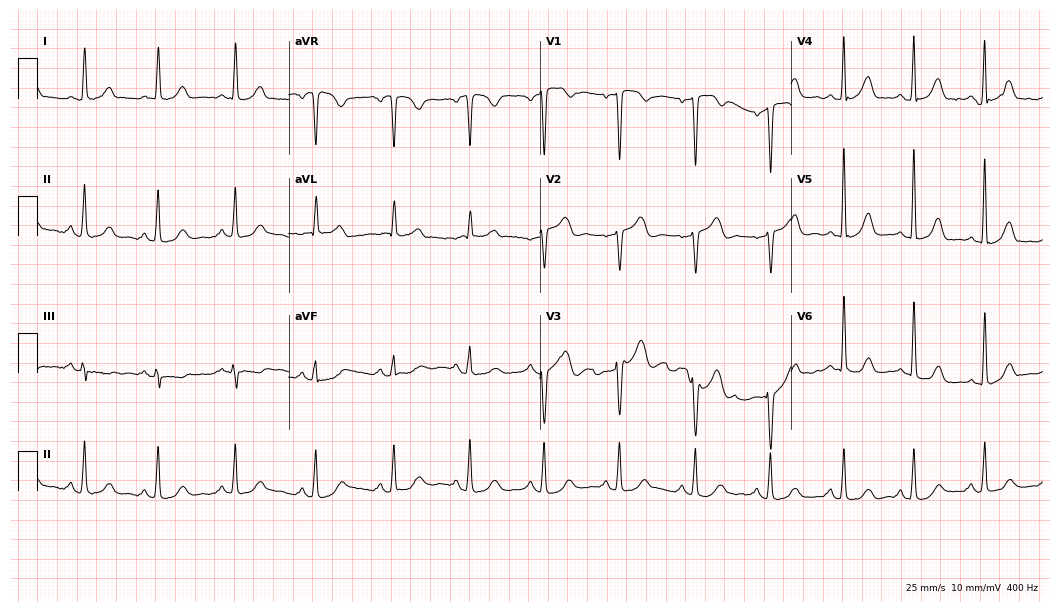
12-lead ECG (10.2-second recording at 400 Hz) from a female patient, 67 years old. Screened for six findings — first-degree AV block, right bundle branch block, left bundle branch block, sinus bradycardia, atrial fibrillation, sinus tachycardia — none is recorded. Other findings, if any, are not listed.